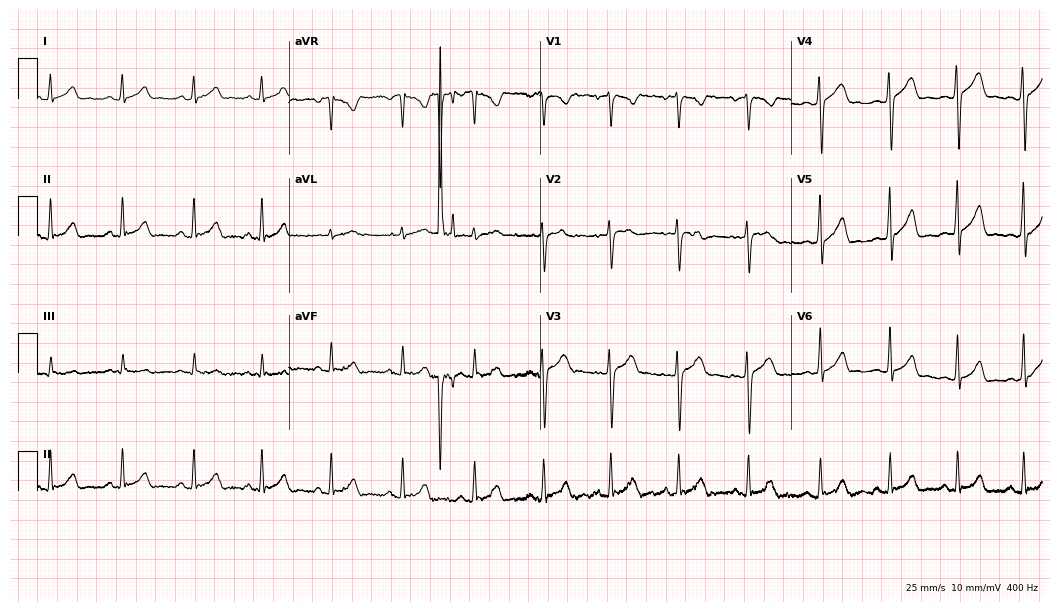
ECG (10.2-second recording at 400 Hz) — a woman, 20 years old. Screened for six findings — first-degree AV block, right bundle branch block, left bundle branch block, sinus bradycardia, atrial fibrillation, sinus tachycardia — none is recorded.